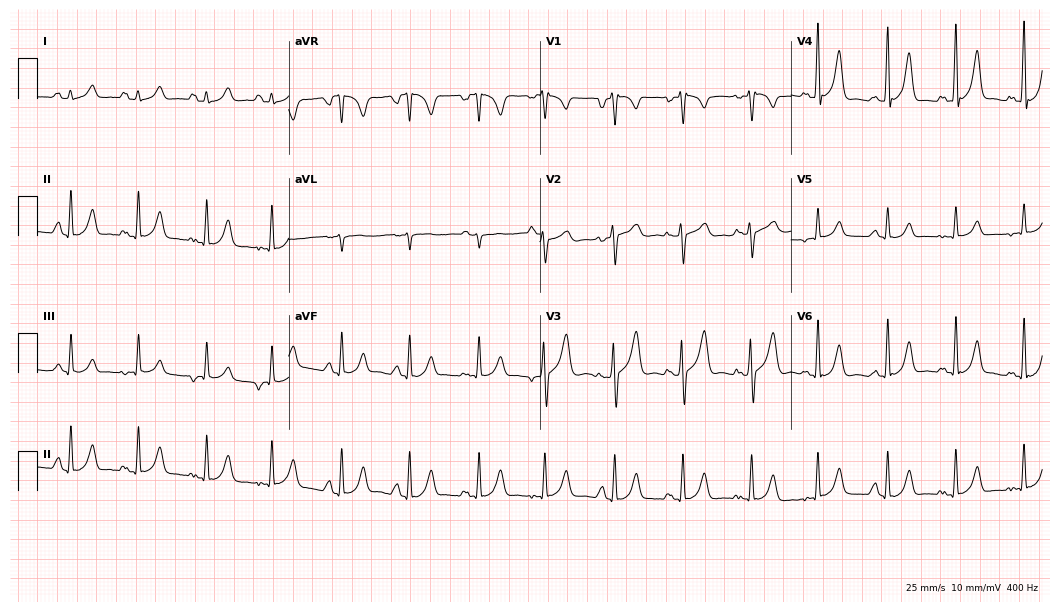
Resting 12-lead electrocardiogram. Patient: a 43-year-old male. None of these six findings is recorded: first-degree AV block, right bundle branch block, left bundle branch block, sinus bradycardia, atrial fibrillation, sinus tachycardia.